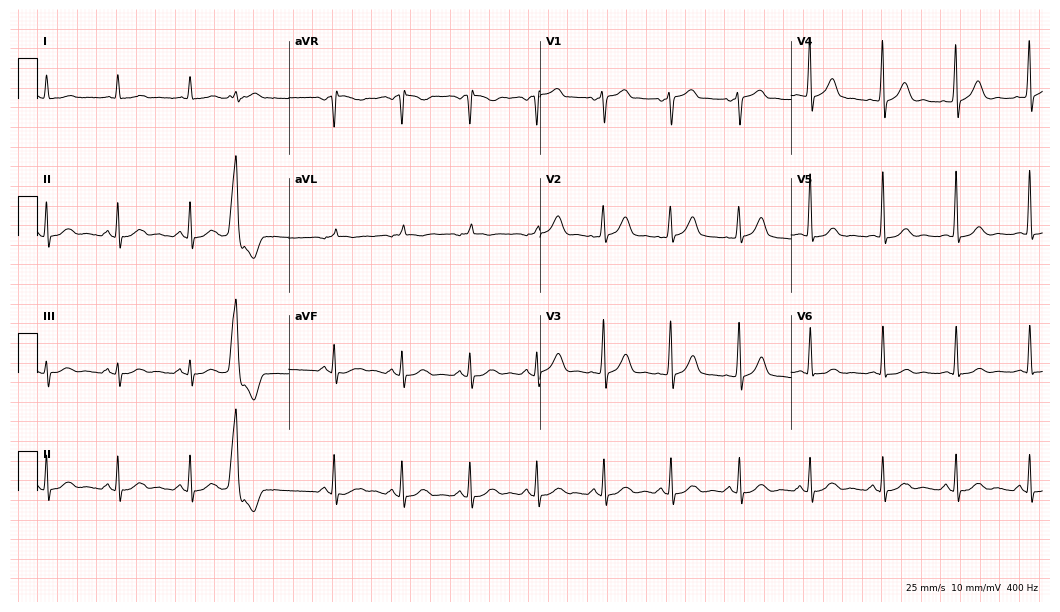
12-lead ECG from a 59-year-old man. Screened for six findings — first-degree AV block, right bundle branch block, left bundle branch block, sinus bradycardia, atrial fibrillation, sinus tachycardia — none is recorded. Other findings, if any, are not listed.